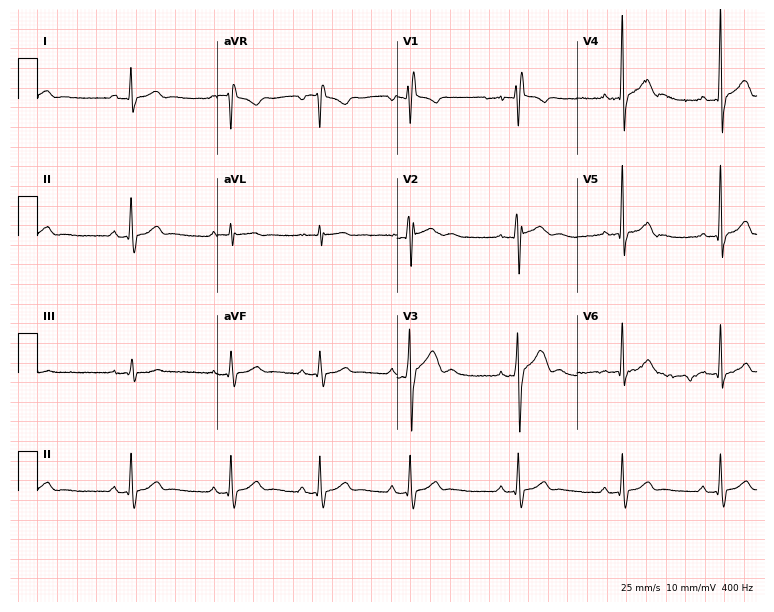
12-lead ECG from a male patient, 18 years old (7.3-second recording at 400 Hz). No first-degree AV block, right bundle branch block (RBBB), left bundle branch block (LBBB), sinus bradycardia, atrial fibrillation (AF) or sinus tachycardia recorded for this tracing. Only these six findings were labelled.